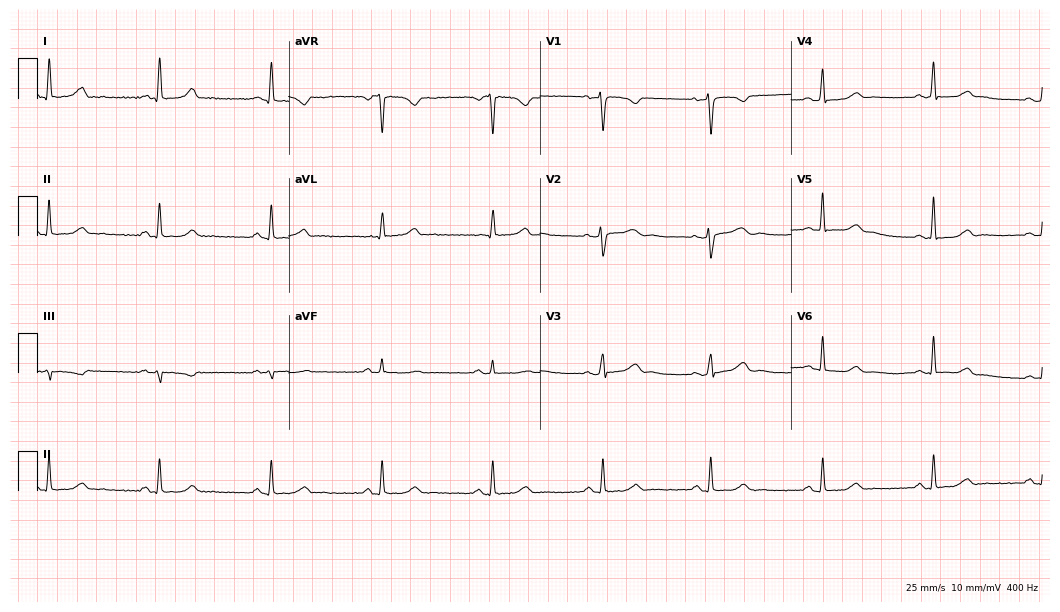
Resting 12-lead electrocardiogram (10.2-second recording at 400 Hz). Patient: a 41-year-old female. None of these six findings is recorded: first-degree AV block, right bundle branch block, left bundle branch block, sinus bradycardia, atrial fibrillation, sinus tachycardia. Only these six findings were labelled.